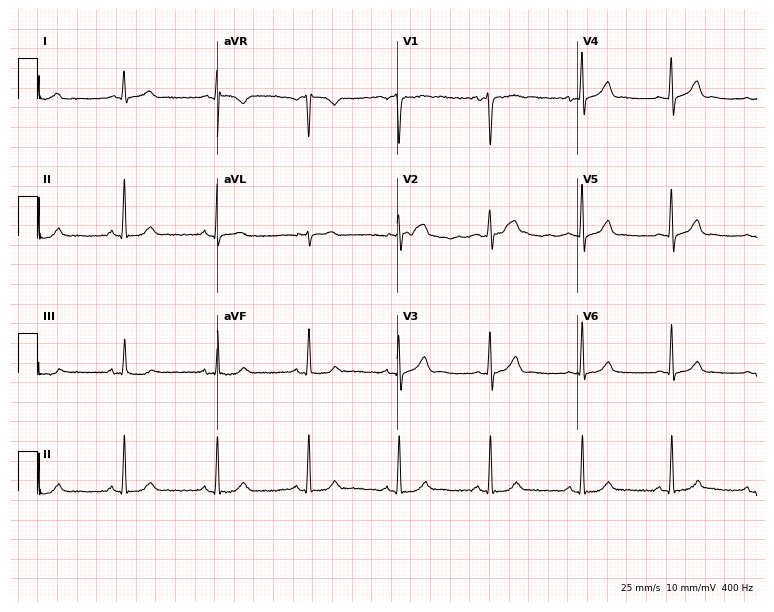
Standard 12-lead ECG recorded from a 40-year-old male patient. Read as a normal ECG.